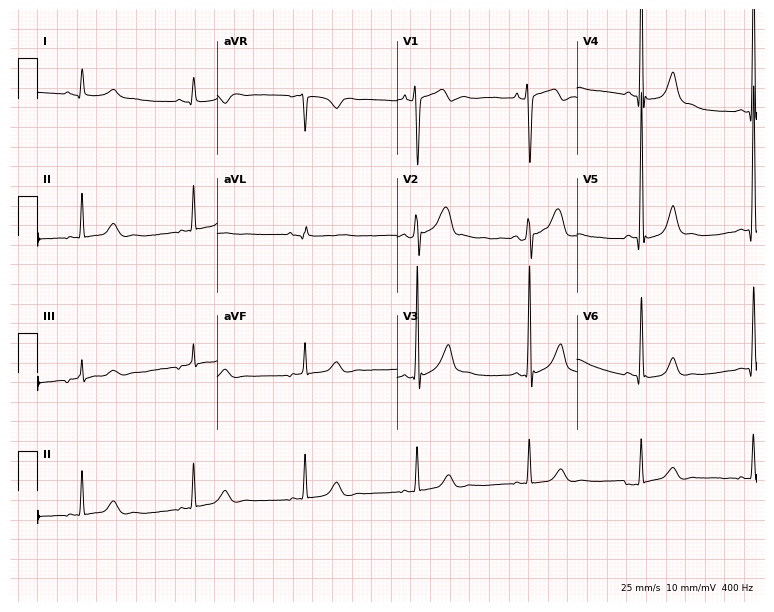
ECG — a 41-year-old male. Screened for six findings — first-degree AV block, right bundle branch block (RBBB), left bundle branch block (LBBB), sinus bradycardia, atrial fibrillation (AF), sinus tachycardia — none is recorded.